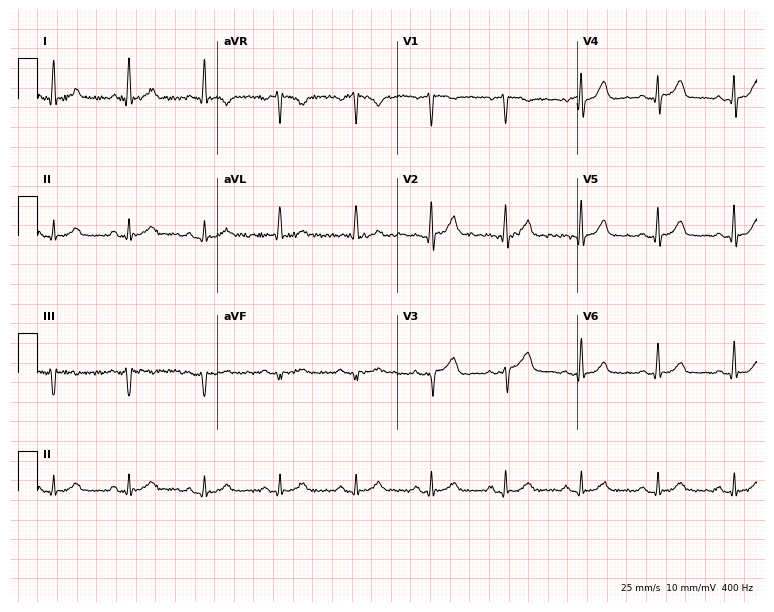
12-lead ECG (7.3-second recording at 400 Hz) from a male patient, 65 years old. Screened for six findings — first-degree AV block, right bundle branch block, left bundle branch block, sinus bradycardia, atrial fibrillation, sinus tachycardia — none is recorded. Findings outside these six are not listed.